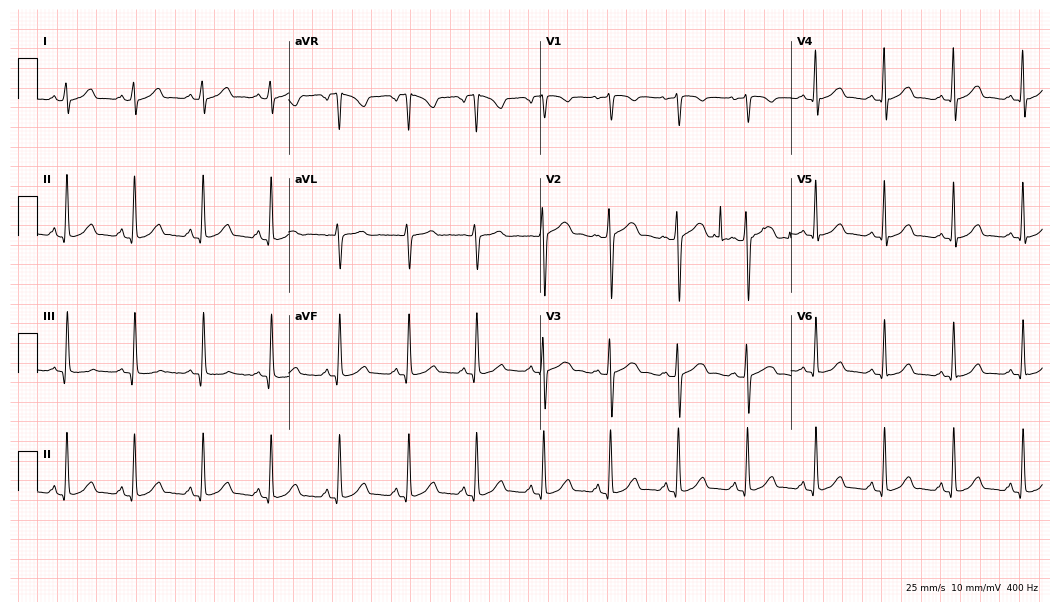
Electrocardiogram (10.2-second recording at 400 Hz), a 33-year-old female patient. Overall reading on record: normal ECG.